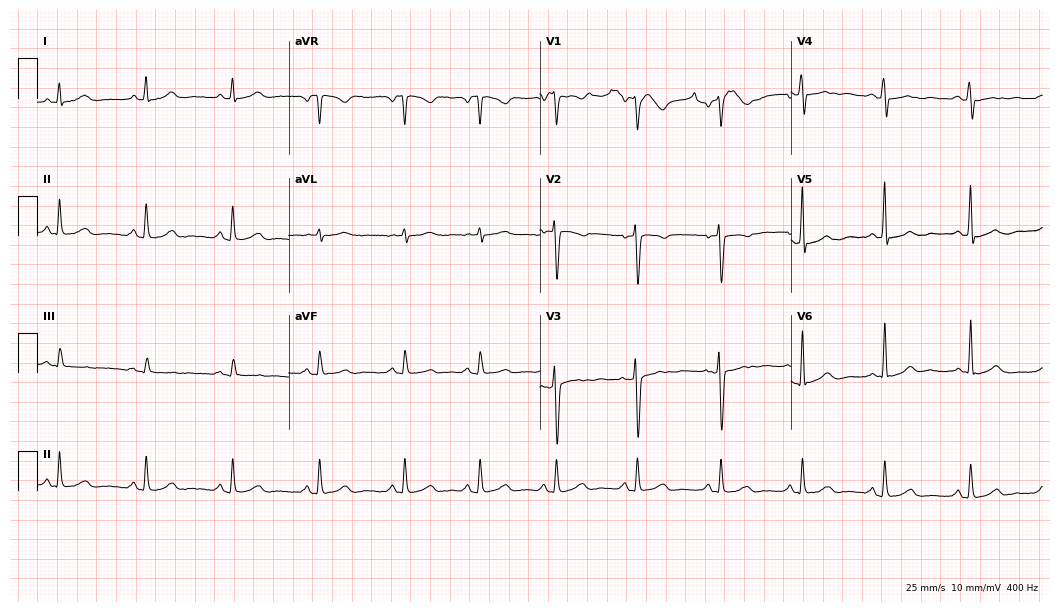
Standard 12-lead ECG recorded from a 30-year-old female patient. Read as a normal ECG.